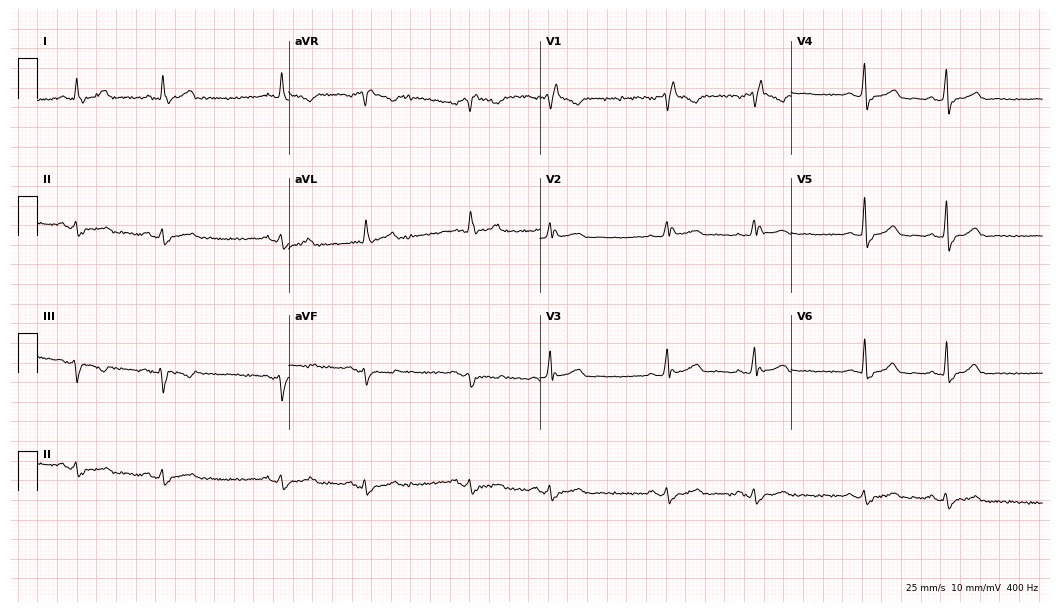
Electrocardiogram (10.2-second recording at 400 Hz), a man, 69 years old. Interpretation includes right bundle branch block.